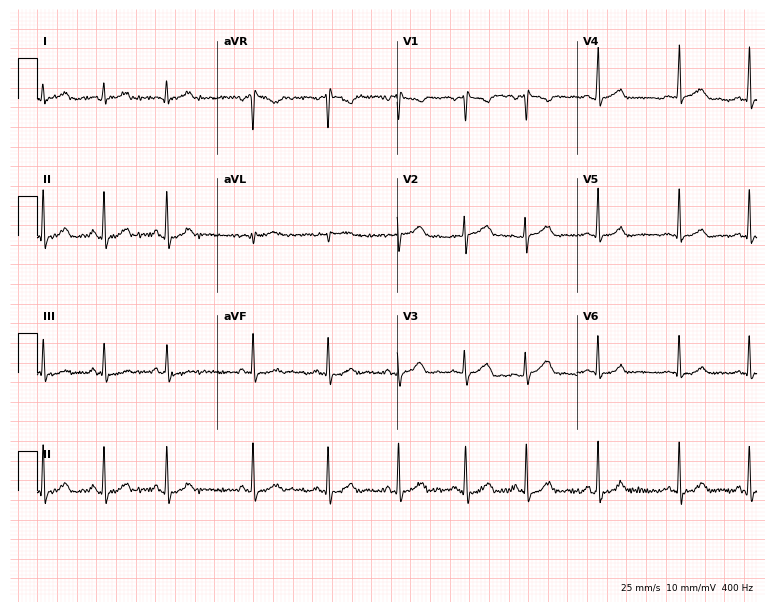
Standard 12-lead ECG recorded from a female, 28 years old (7.3-second recording at 400 Hz). Read as a normal ECG.